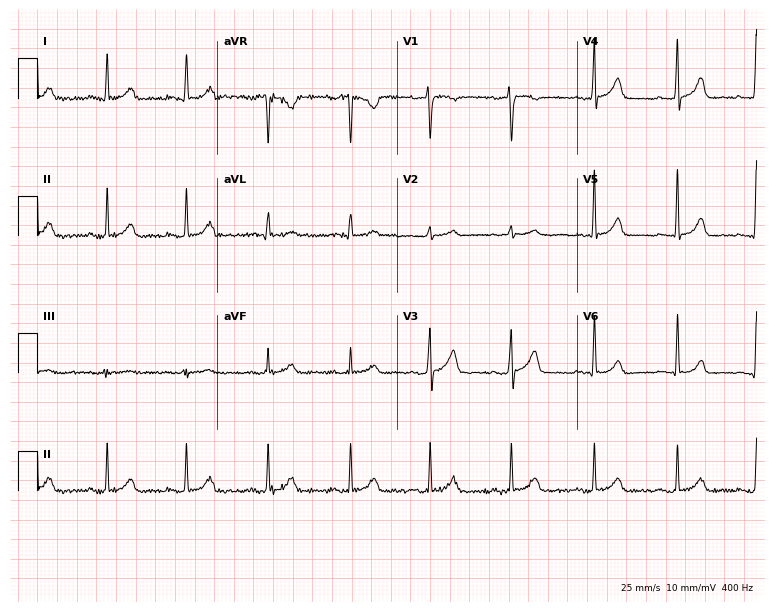
12-lead ECG from a female, 46 years old. Labelled as a normal ECG.